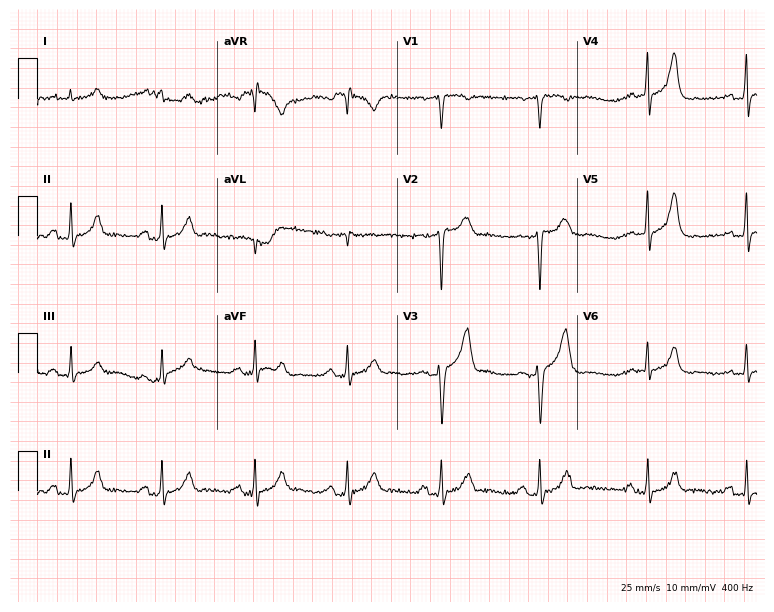
12-lead ECG from a 72-year-old male patient. No first-degree AV block, right bundle branch block, left bundle branch block, sinus bradycardia, atrial fibrillation or sinus tachycardia recorded for this tracing. Findings outside these six are not listed.